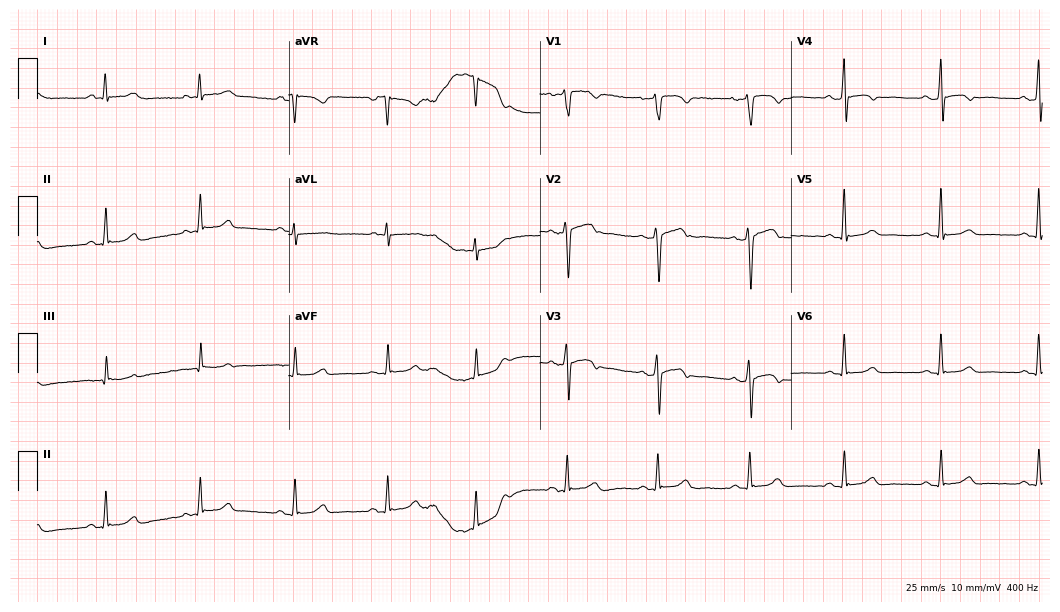
12-lead ECG from a woman, 57 years old. No first-degree AV block, right bundle branch block (RBBB), left bundle branch block (LBBB), sinus bradycardia, atrial fibrillation (AF) or sinus tachycardia recorded for this tracing. Other findings, if any, are not listed.